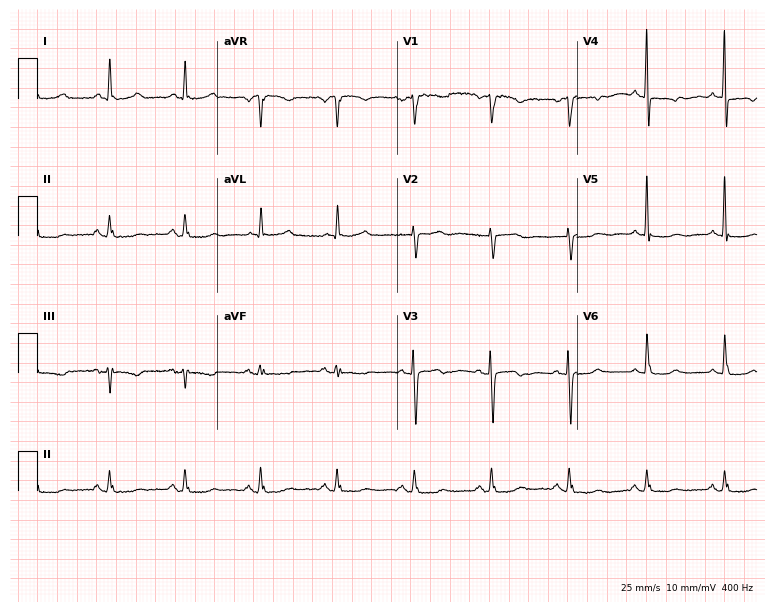
12-lead ECG from a 60-year-old female patient. No first-degree AV block, right bundle branch block (RBBB), left bundle branch block (LBBB), sinus bradycardia, atrial fibrillation (AF) or sinus tachycardia recorded for this tracing. Other findings, if any, are not listed.